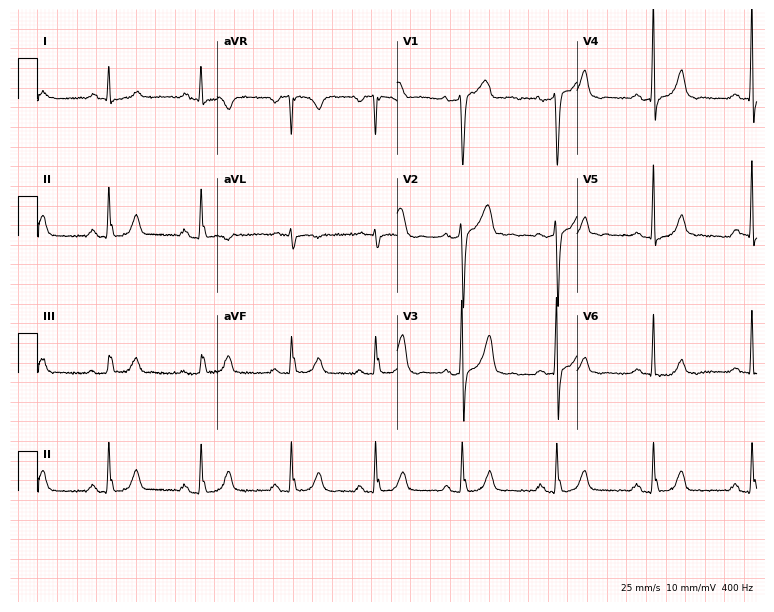
12-lead ECG from a female patient, 54 years old. Labelled as a normal ECG.